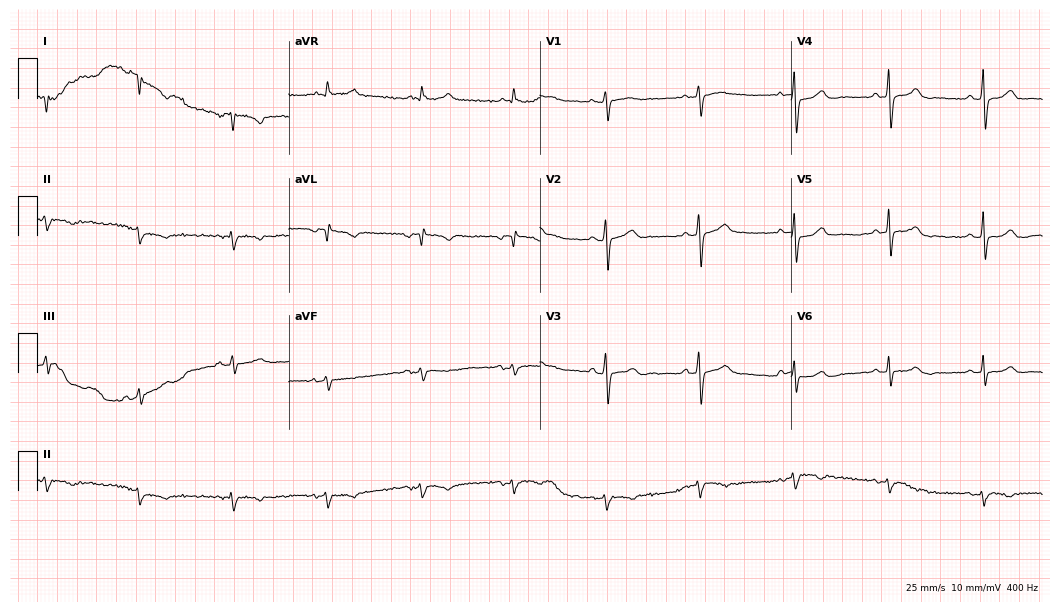
Standard 12-lead ECG recorded from a 75-year-old female (10.2-second recording at 400 Hz). Read as a normal ECG.